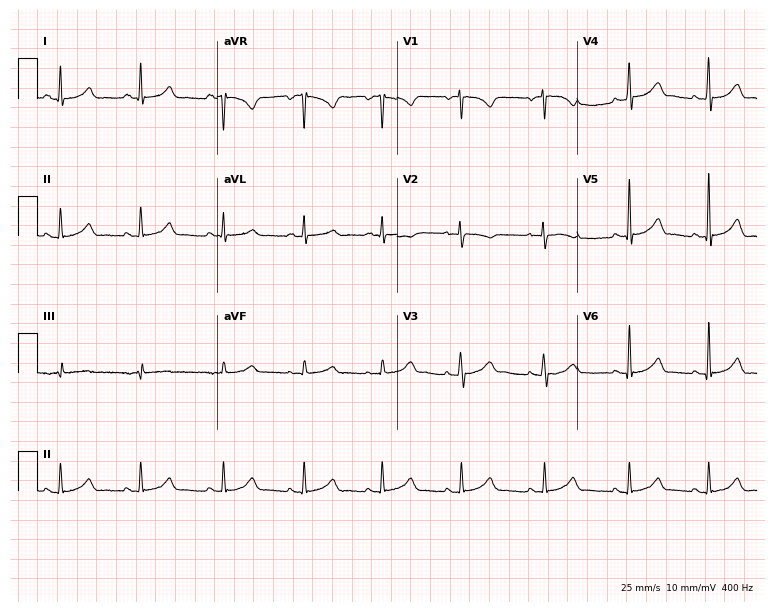
Standard 12-lead ECG recorded from a woman, 34 years old. Read as a normal ECG.